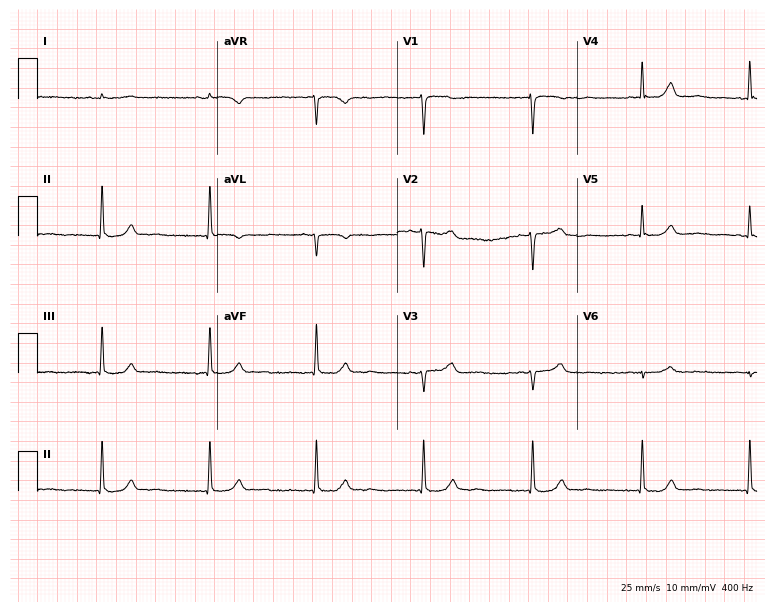
Resting 12-lead electrocardiogram. Patient: a female, 67 years old. None of these six findings is recorded: first-degree AV block, right bundle branch block, left bundle branch block, sinus bradycardia, atrial fibrillation, sinus tachycardia. Only these six findings were labelled.